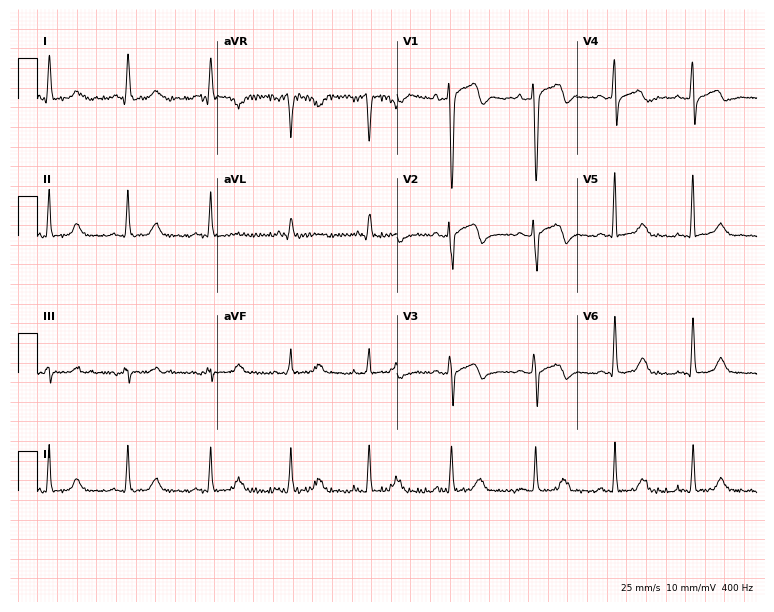
Standard 12-lead ECG recorded from a male patient, 44 years old. None of these six findings is recorded: first-degree AV block, right bundle branch block (RBBB), left bundle branch block (LBBB), sinus bradycardia, atrial fibrillation (AF), sinus tachycardia.